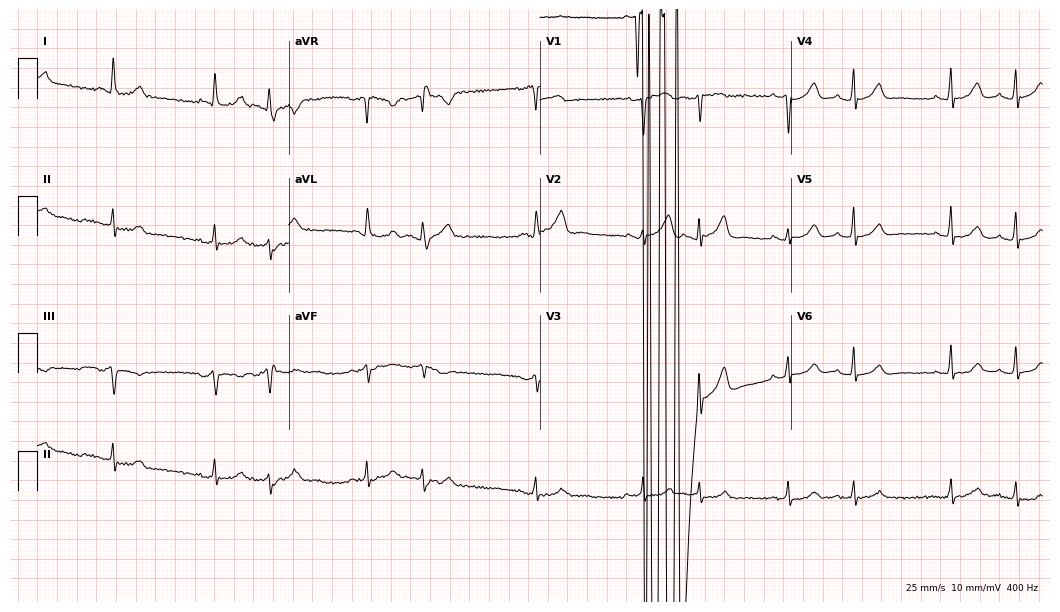
Resting 12-lead electrocardiogram (10.2-second recording at 400 Hz). Patient: a man, 70 years old. None of these six findings is recorded: first-degree AV block, right bundle branch block, left bundle branch block, sinus bradycardia, atrial fibrillation, sinus tachycardia.